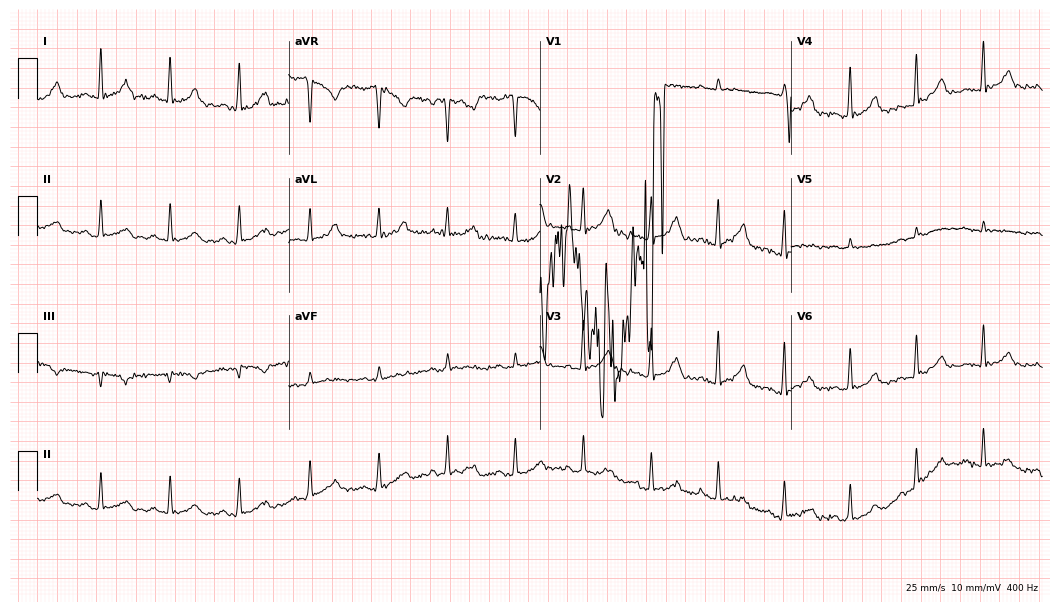
12-lead ECG (10.2-second recording at 400 Hz) from a female patient, 24 years old. Screened for six findings — first-degree AV block, right bundle branch block, left bundle branch block, sinus bradycardia, atrial fibrillation, sinus tachycardia — none is recorded.